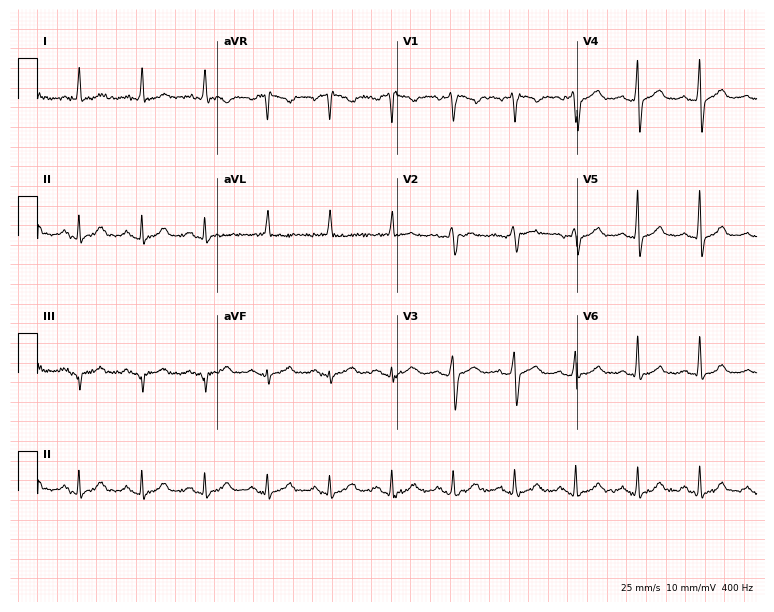
ECG (7.3-second recording at 400 Hz) — a man, 58 years old. Labelled as a normal ECG.